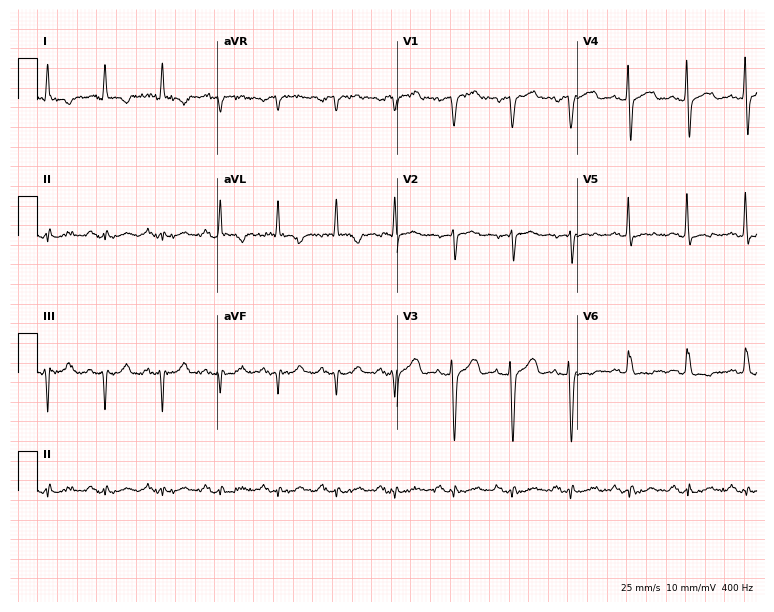
ECG — a man, 83 years old. Screened for six findings — first-degree AV block, right bundle branch block, left bundle branch block, sinus bradycardia, atrial fibrillation, sinus tachycardia — none is recorded.